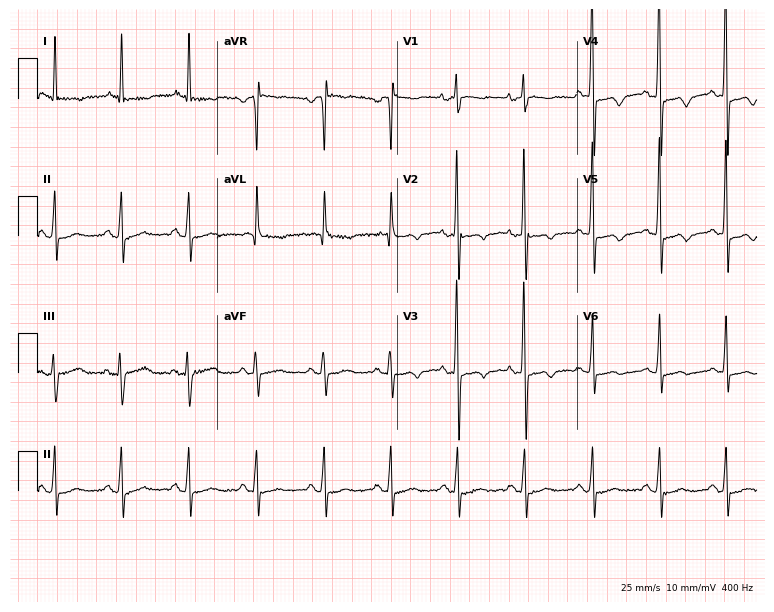
Electrocardiogram (7.3-second recording at 400 Hz), an 85-year-old female patient. Of the six screened findings (first-degree AV block, right bundle branch block (RBBB), left bundle branch block (LBBB), sinus bradycardia, atrial fibrillation (AF), sinus tachycardia), none is recorded. Other findings, if any, are not listed.